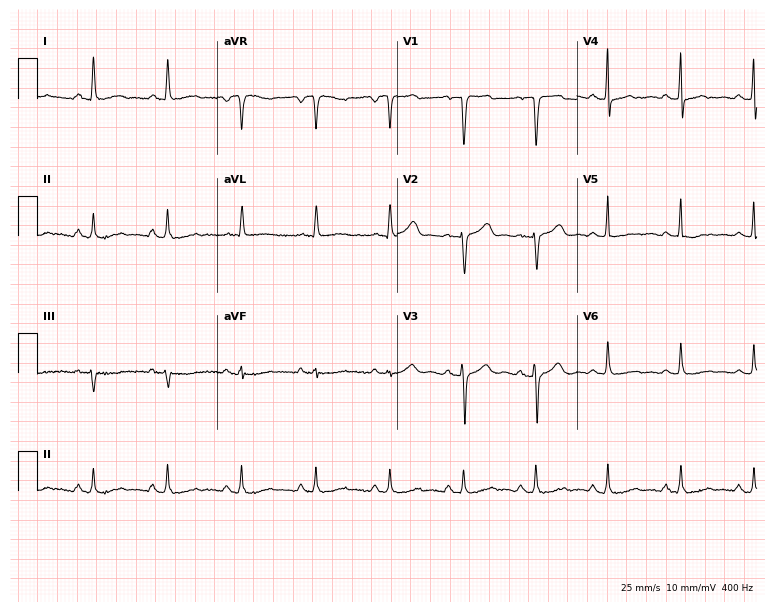
Electrocardiogram, a female patient, 61 years old. Of the six screened findings (first-degree AV block, right bundle branch block (RBBB), left bundle branch block (LBBB), sinus bradycardia, atrial fibrillation (AF), sinus tachycardia), none is recorded.